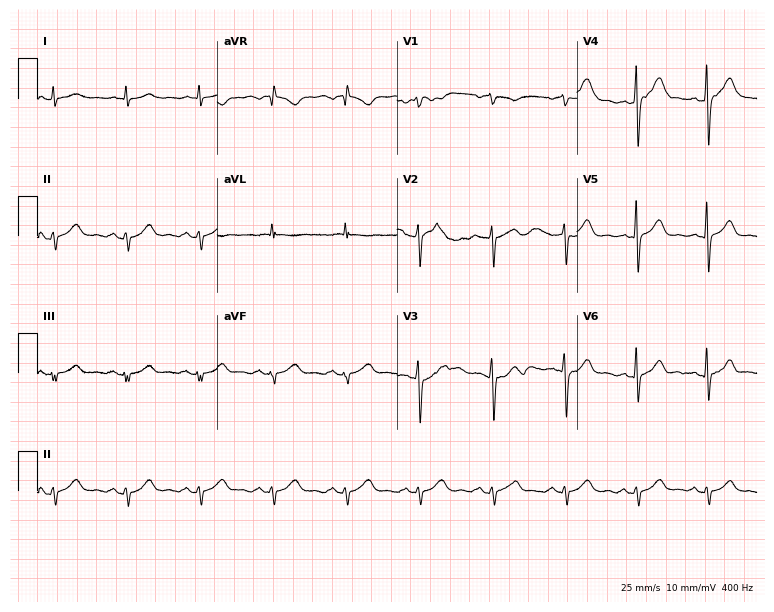
Resting 12-lead electrocardiogram. Patient: a 56-year-old male. None of these six findings is recorded: first-degree AV block, right bundle branch block, left bundle branch block, sinus bradycardia, atrial fibrillation, sinus tachycardia. Findings outside these six are not listed.